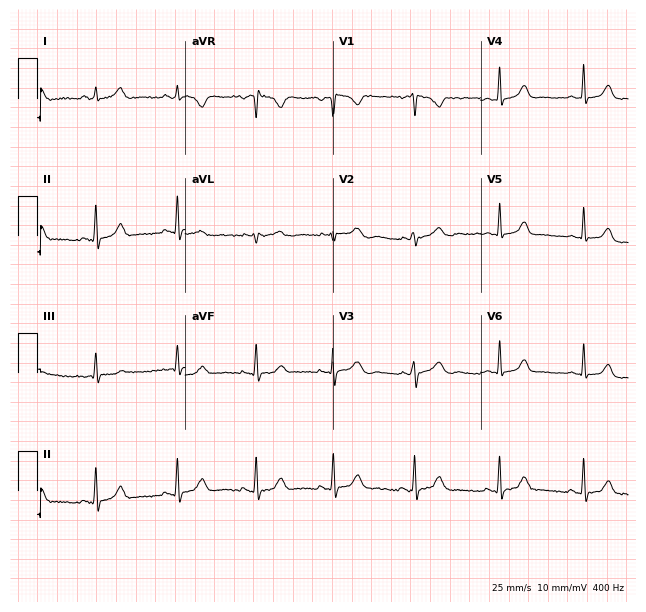
Electrocardiogram, a female, 21 years old. Overall reading on record: normal ECG.